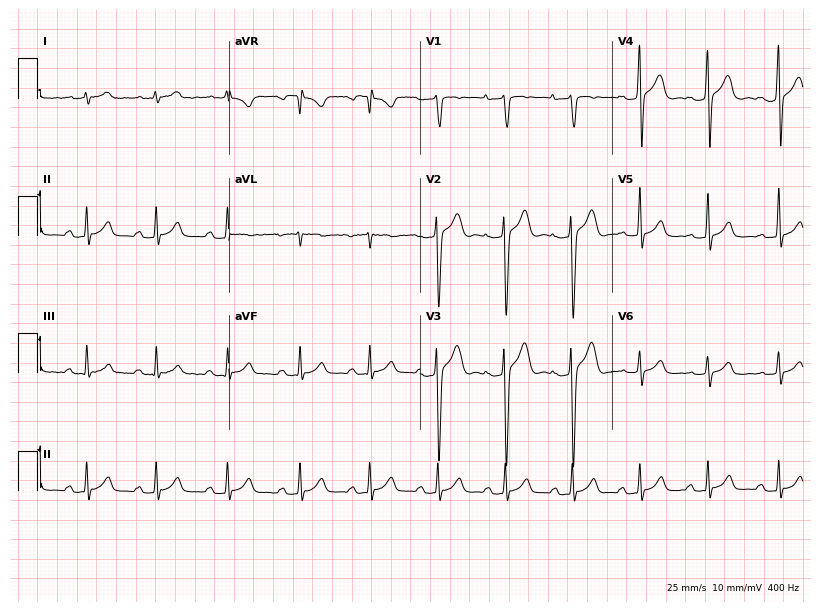
ECG (7.8-second recording at 400 Hz) — a man, 22 years old. Screened for six findings — first-degree AV block, right bundle branch block (RBBB), left bundle branch block (LBBB), sinus bradycardia, atrial fibrillation (AF), sinus tachycardia — none is recorded. Findings outside these six are not listed.